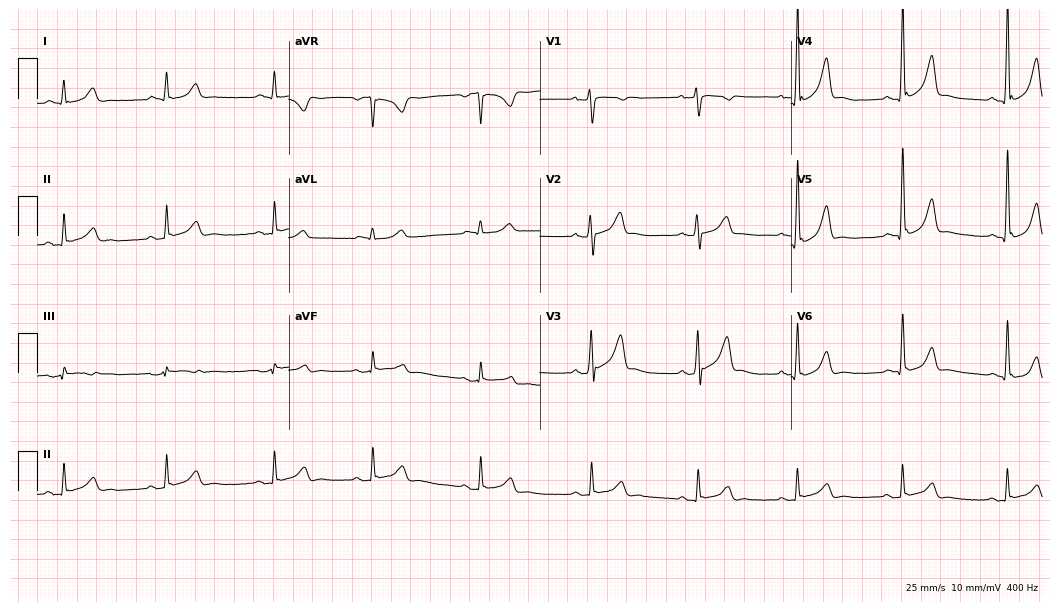
Resting 12-lead electrocardiogram. Patient: a 26-year-old man. None of these six findings is recorded: first-degree AV block, right bundle branch block, left bundle branch block, sinus bradycardia, atrial fibrillation, sinus tachycardia. Findings outside these six are not listed.